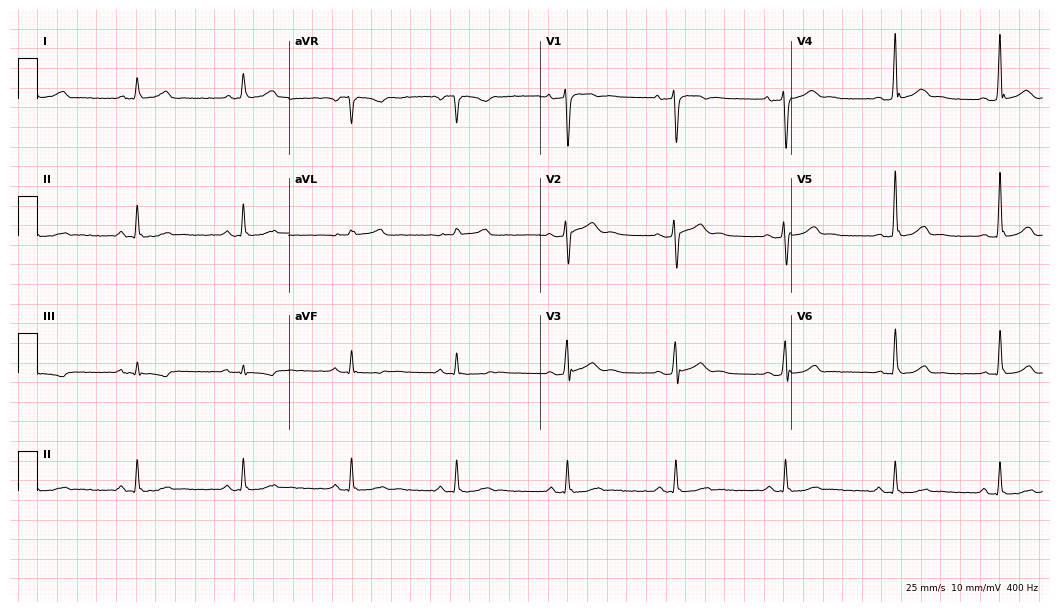
Electrocardiogram (10.2-second recording at 400 Hz), a 46-year-old man. Of the six screened findings (first-degree AV block, right bundle branch block, left bundle branch block, sinus bradycardia, atrial fibrillation, sinus tachycardia), none is recorded. Only these six findings were labelled.